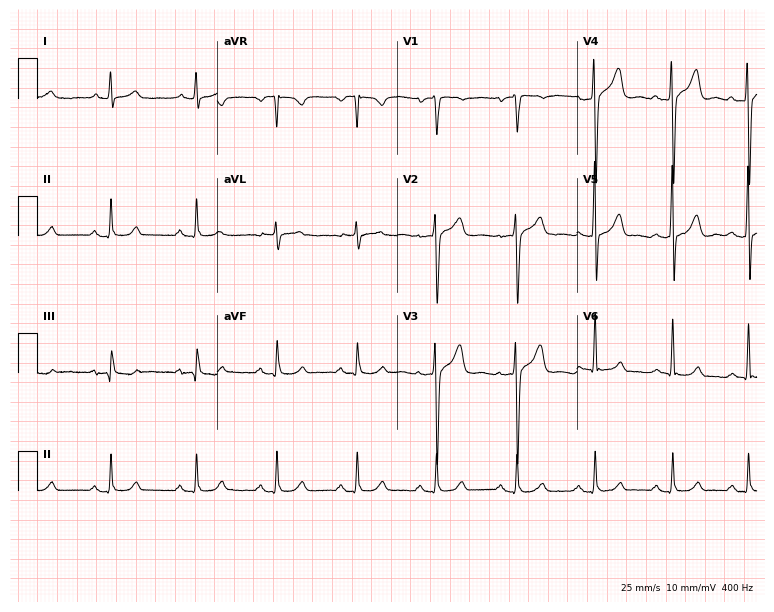
12-lead ECG from a male, 52 years old (7.3-second recording at 400 Hz). No first-degree AV block, right bundle branch block, left bundle branch block, sinus bradycardia, atrial fibrillation or sinus tachycardia recorded for this tracing.